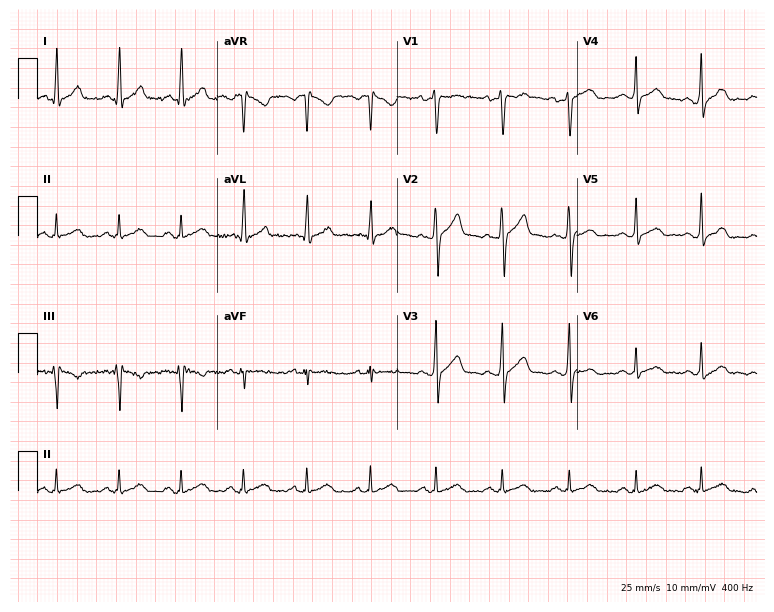
Standard 12-lead ECG recorded from a 34-year-old man. None of these six findings is recorded: first-degree AV block, right bundle branch block, left bundle branch block, sinus bradycardia, atrial fibrillation, sinus tachycardia.